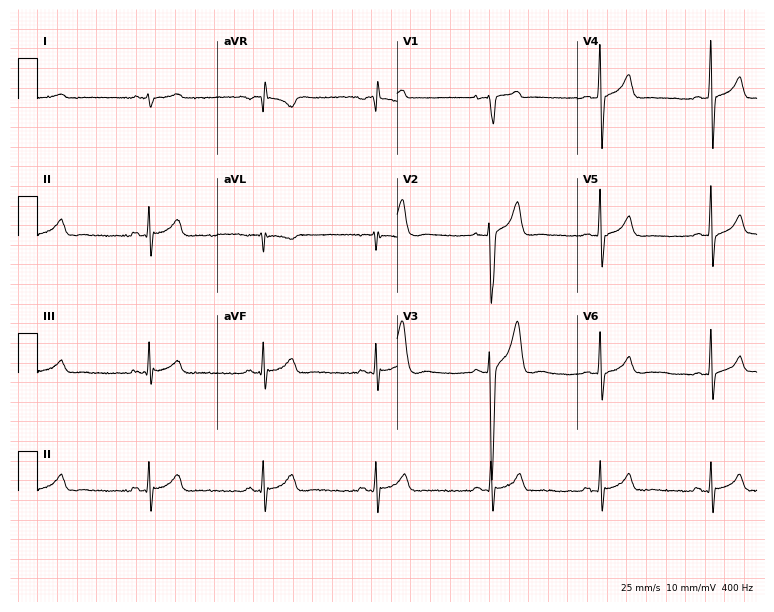
Electrocardiogram, a 19-year-old man. Of the six screened findings (first-degree AV block, right bundle branch block, left bundle branch block, sinus bradycardia, atrial fibrillation, sinus tachycardia), none is recorded. Findings outside these six are not listed.